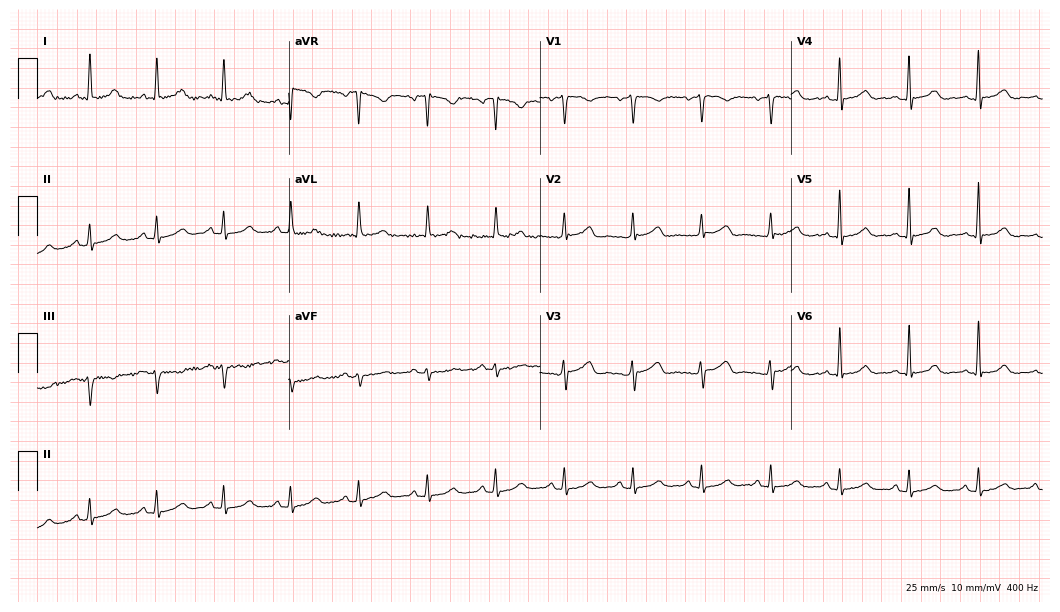
12-lead ECG from a 50-year-old female patient. Recorded interpretation: within normal limits.